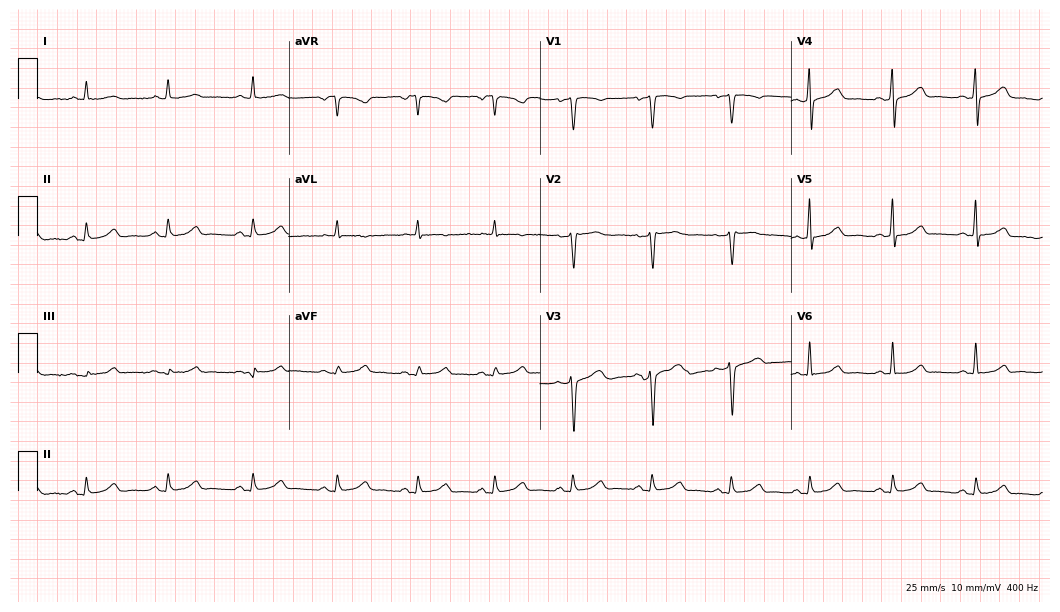
Standard 12-lead ECG recorded from a 37-year-old female patient. Read as a normal ECG.